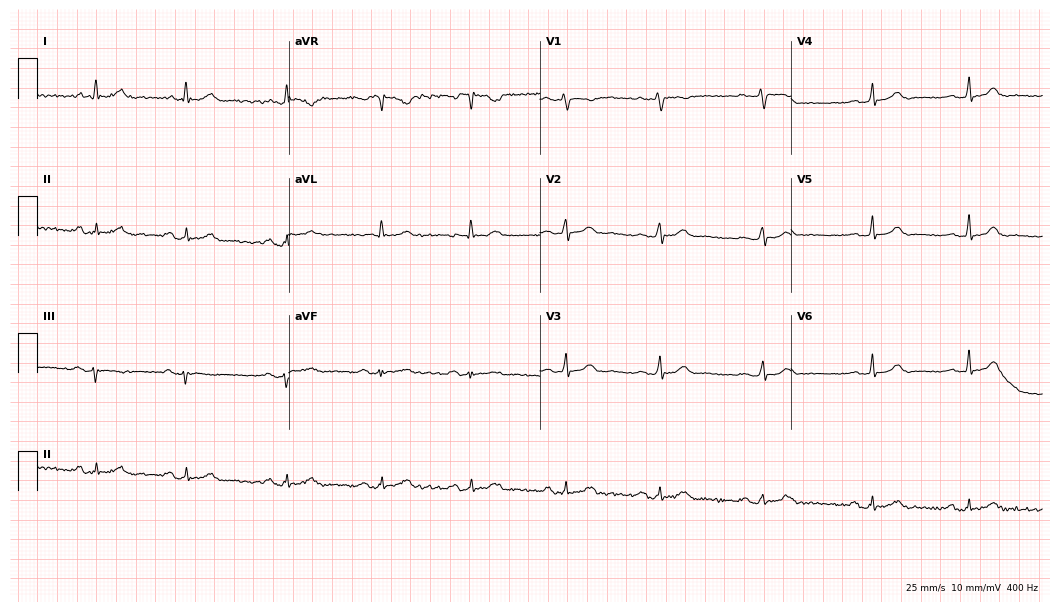
Electrocardiogram, a woman, 56 years old. Of the six screened findings (first-degree AV block, right bundle branch block, left bundle branch block, sinus bradycardia, atrial fibrillation, sinus tachycardia), none is recorded.